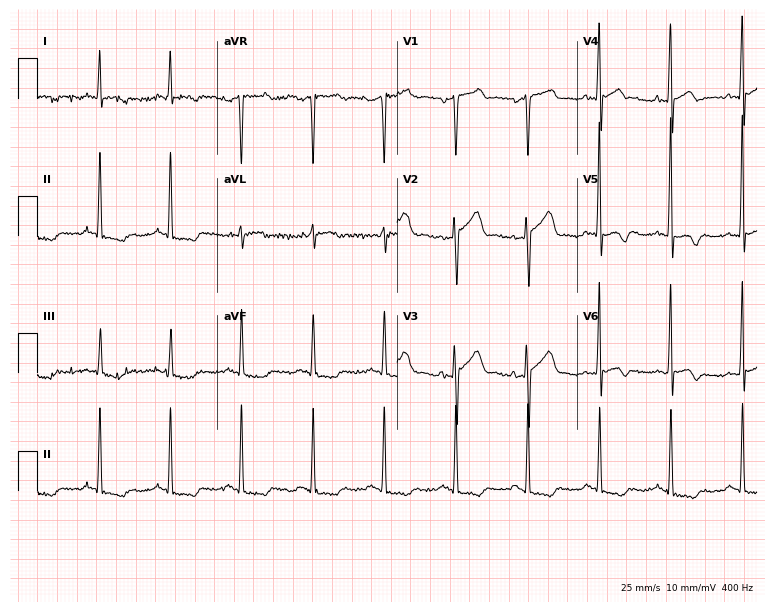
12-lead ECG from a male patient, 73 years old (7.3-second recording at 400 Hz). No first-degree AV block, right bundle branch block, left bundle branch block, sinus bradycardia, atrial fibrillation or sinus tachycardia recorded for this tracing.